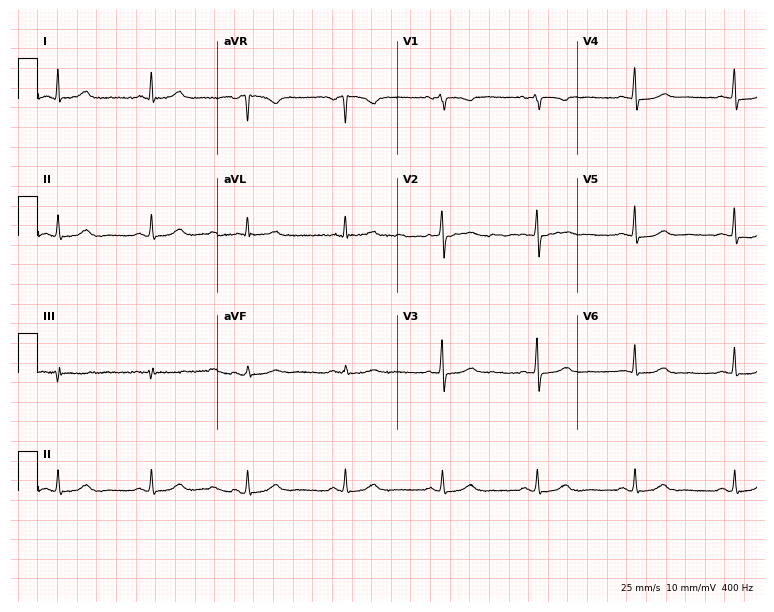
12-lead ECG (7.3-second recording at 400 Hz) from a woman, 60 years old. Screened for six findings — first-degree AV block, right bundle branch block, left bundle branch block, sinus bradycardia, atrial fibrillation, sinus tachycardia — none is recorded.